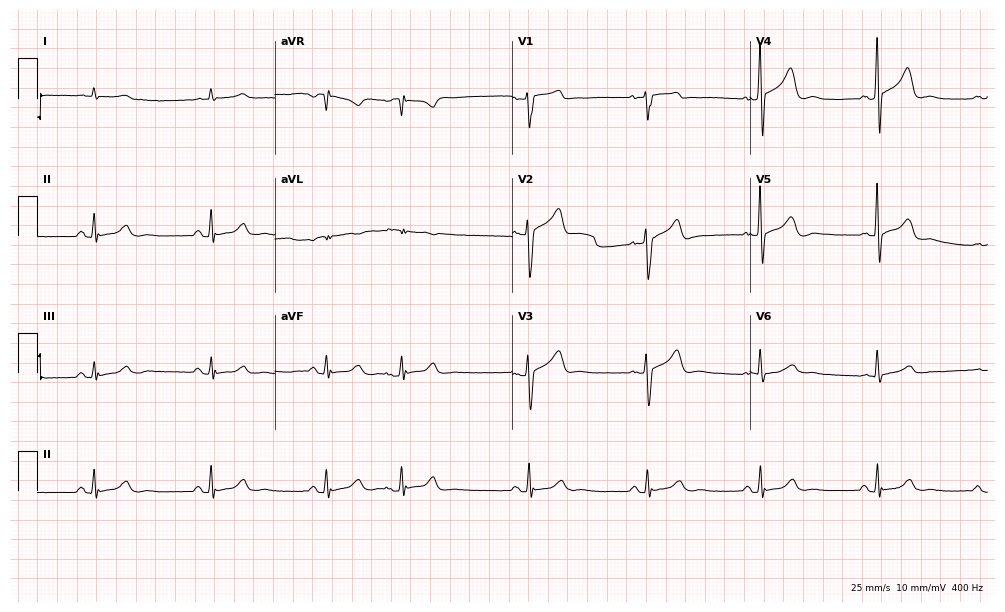
Standard 12-lead ECG recorded from a 61-year-old male. Read as a normal ECG.